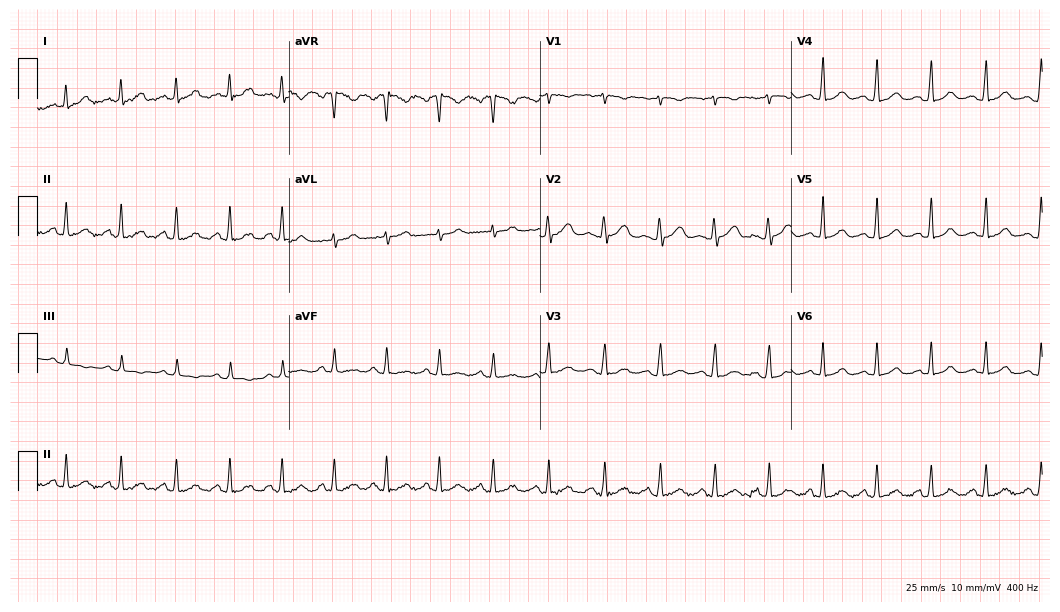
Resting 12-lead electrocardiogram. Patient: a 24-year-old female. The tracing shows sinus tachycardia (a sinus rate of 100 beats per minute or more).